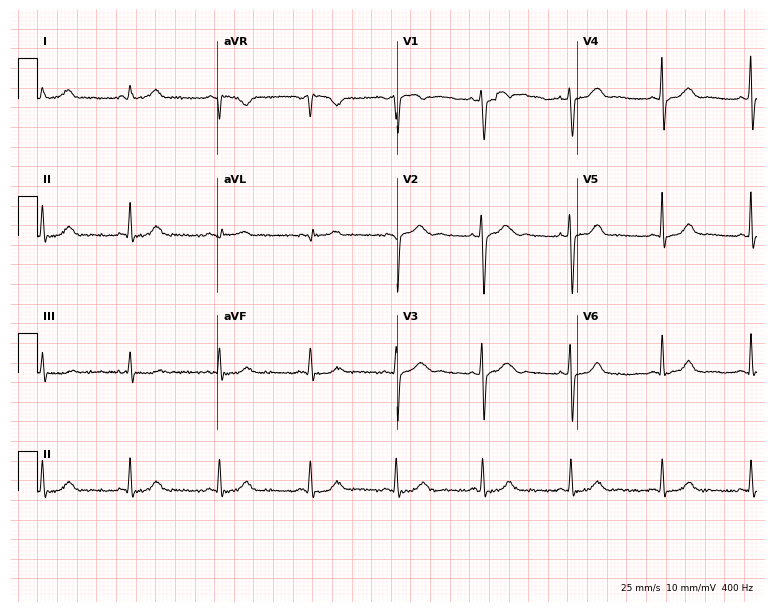
12-lead ECG from a 28-year-old female. No first-degree AV block, right bundle branch block, left bundle branch block, sinus bradycardia, atrial fibrillation or sinus tachycardia recorded for this tracing.